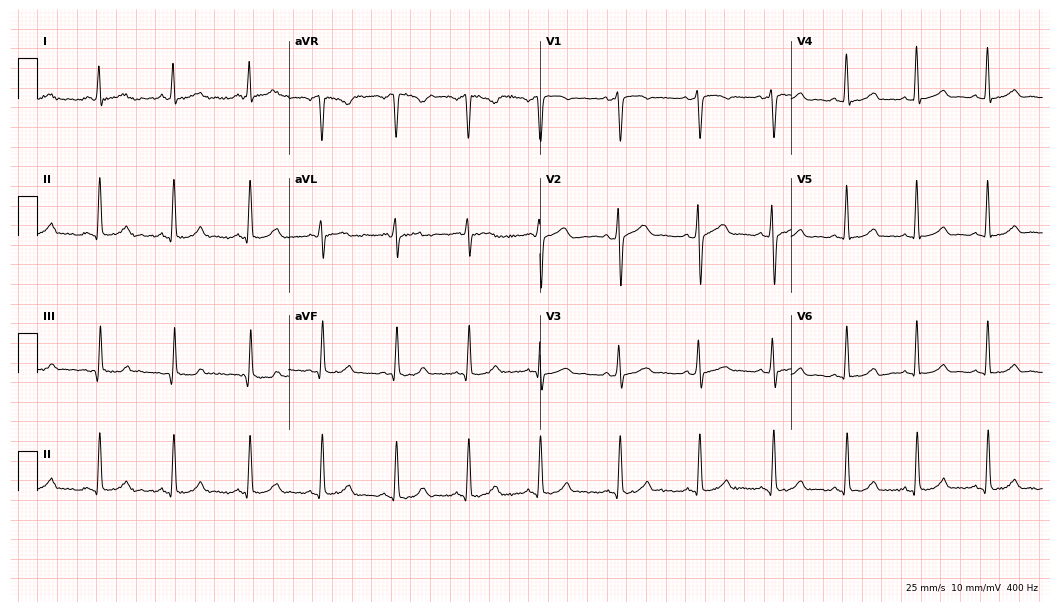
Standard 12-lead ECG recorded from a 33-year-old female patient. Read as a normal ECG.